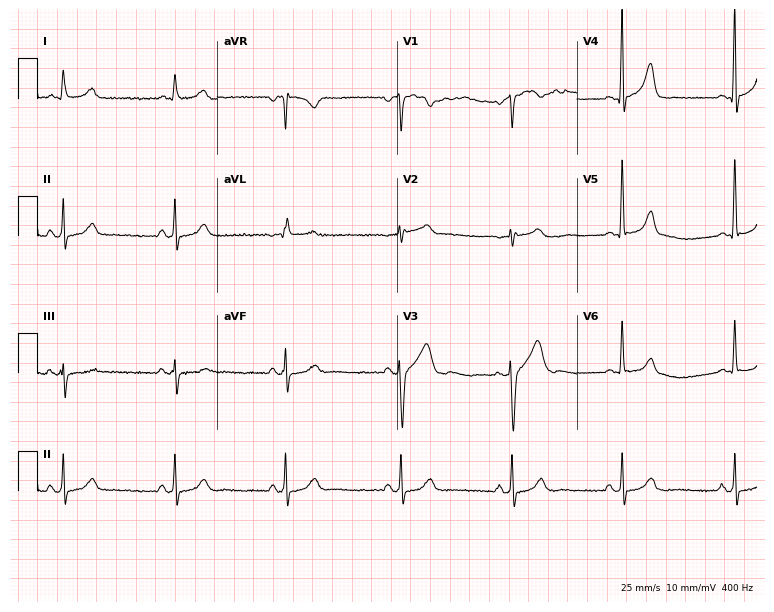
Electrocardiogram, a man, 60 years old. Overall reading on record: normal ECG.